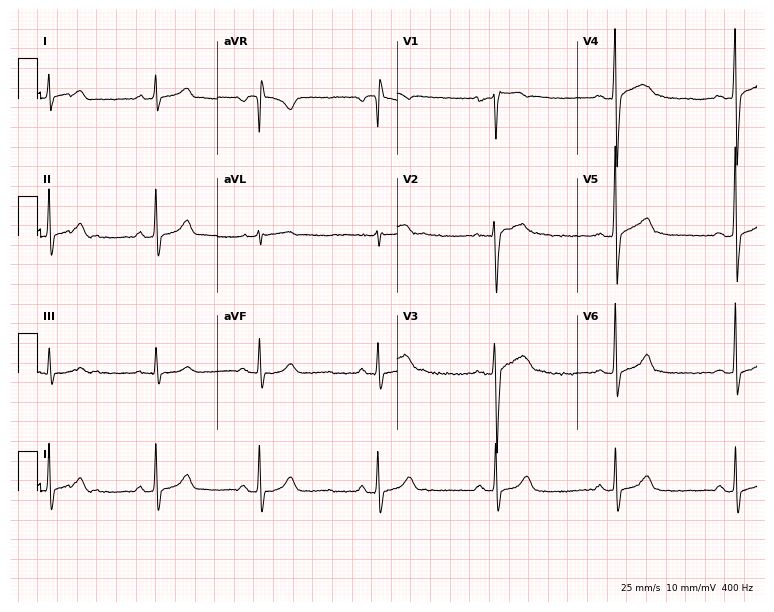
12-lead ECG (7.3-second recording at 400 Hz) from a 31-year-old man. Screened for six findings — first-degree AV block, right bundle branch block (RBBB), left bundle branch block (LBBB), sinus bradycardia, atrial fibrillation (AF), sinus tachycardia — none is recorded.